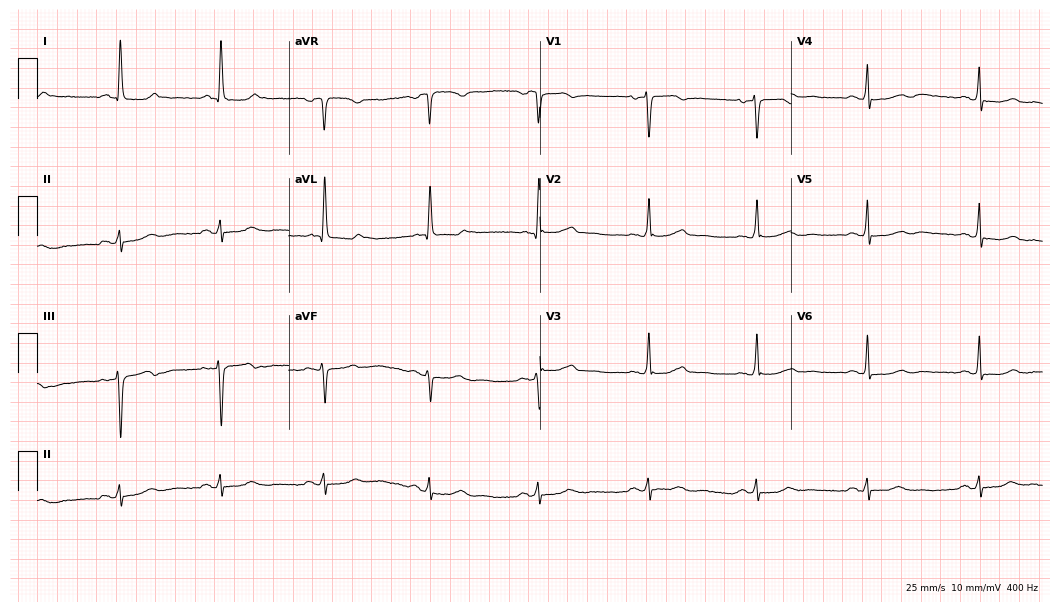
12-lead ECG from a 66-year-old female patient. Recorded interpretation: within normal limits.